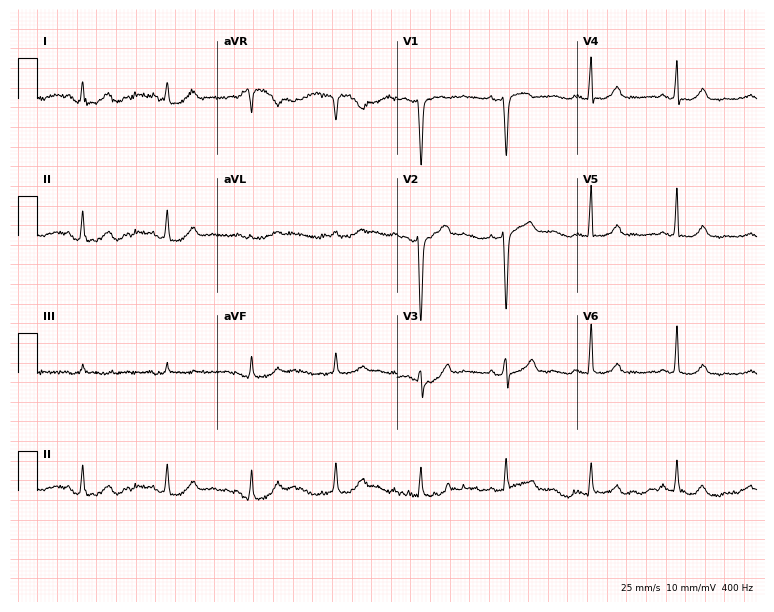
12-lead ECG (7.3-second recording at 400 Hz) from a 53-year-old woman. Screened for six findings — first-degree AV block, right bundle branch block (RBBB), left bundle branch block (LBBB), sinus bradycardia, atrial fibrillation (AF), sinus tachycardia — none is recorded.